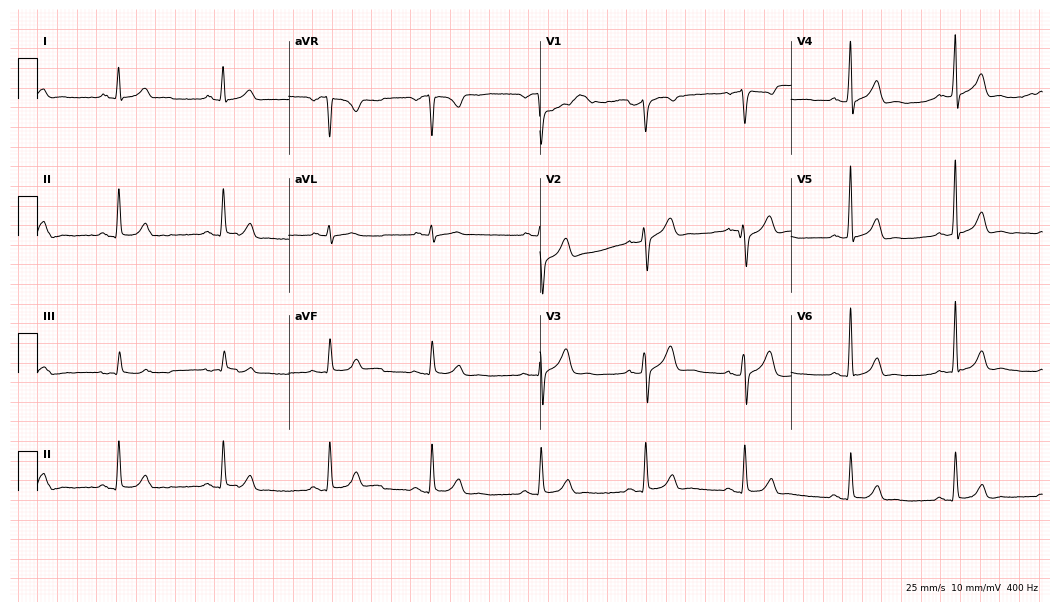
Electrocardiogram (10.2-second recording at 400 Hz), a man, 42 years old. Of the six screened findings (first-degree AV block, right bundle branch block, left bundle branch block, sinus bradycardia, atrial fibrillation, sinus tachycardia), none is recorded.